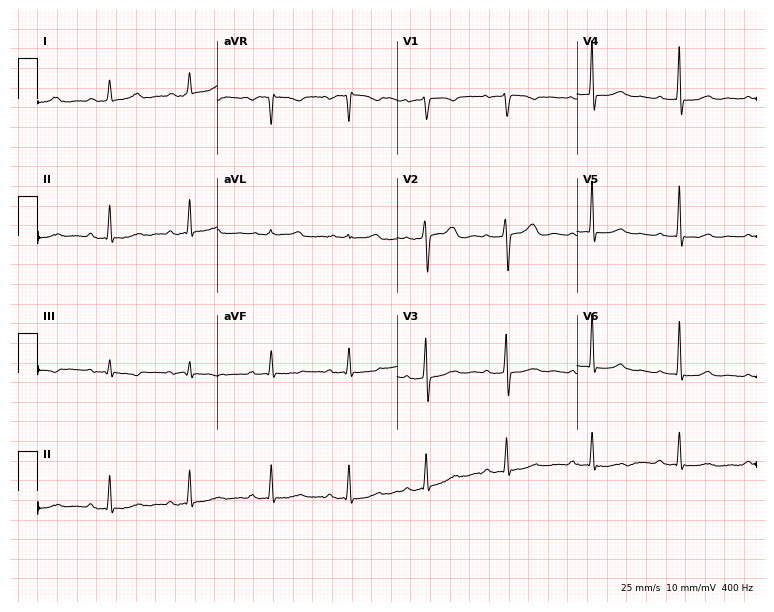
Resting 12-lead electrocardiogram (7.3-second recording at 400 Hz). Patient: a 47-year-old female. None of these six findings is recorded: first-degree AV block, right bundle branch block (RBBB), left bundle branch block (LBBB), sinus bradycardia, atrial fibrillation (AF), sinus tachycardia.